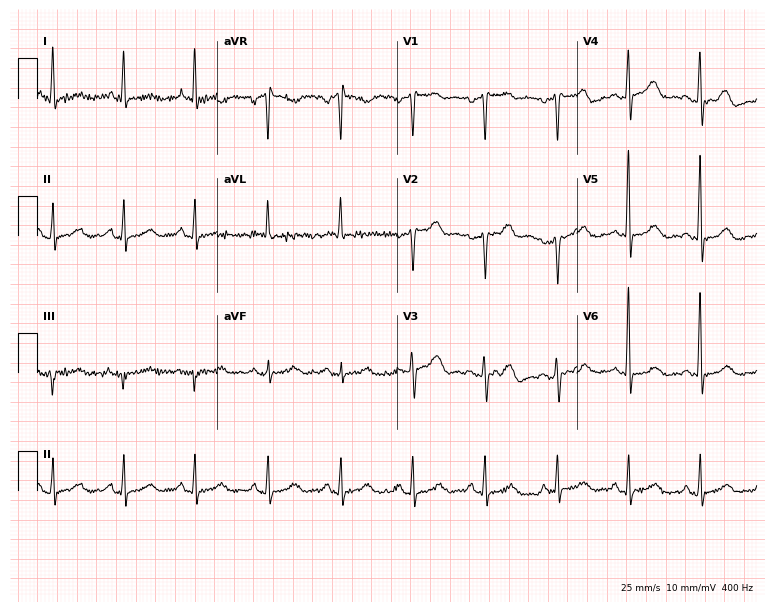
Electrocardiogram (7.3-second recording at 400 Hz), a female patient, 72 years old. Of the six screened findings (first-degree AV block, right bundle branch block, left bundle branch block, sinus bradycardia, atrial fibrillation, sinus tachycardia), none is recorded. Only these six findings were labelled.